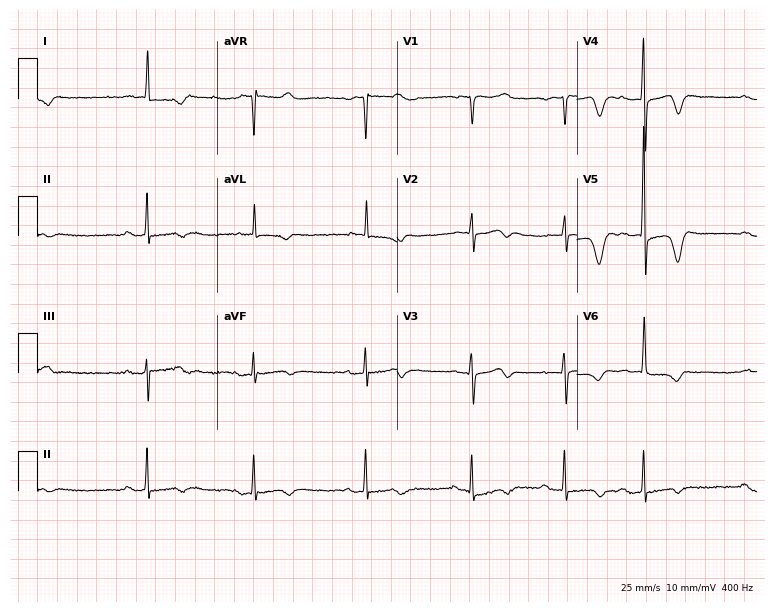
Electrocardiogram, a 77-year-old female. Of the six screened findings (first-degree AV block, right bundle branch block (RBBB), left bundle branch block (LBBB), sinus bradycardia, atrial fibrillation (AF), sinus tachycardia), none is recorded.